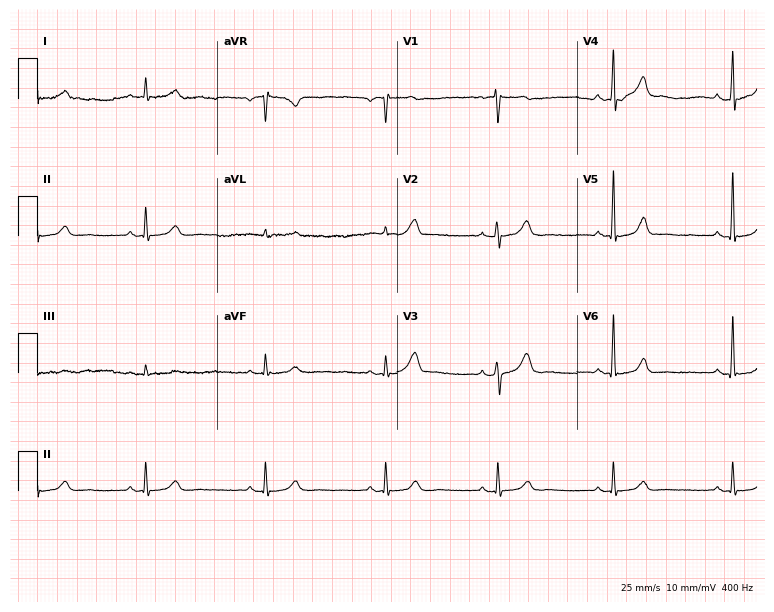
12-lead ECG from a 30-year-old female (7.3-second recording at 400 Hz). Shows sinus bradycardia (a sinus rate of 50 beats per minute or less).